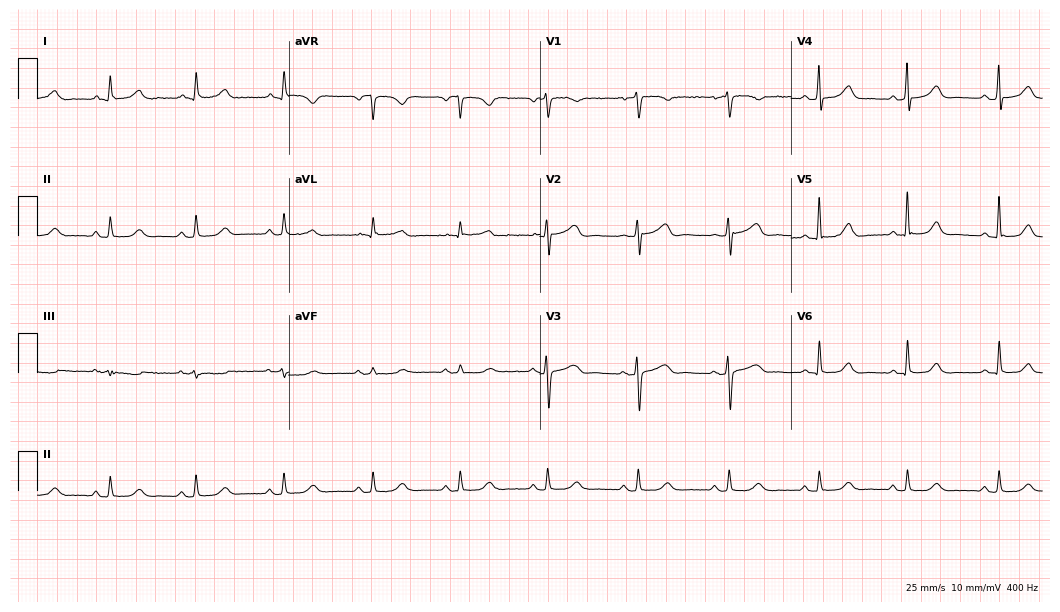
Resting 12-lead electrocardiogram. Patient: a 52-year-old female. Read as a normal ECG.